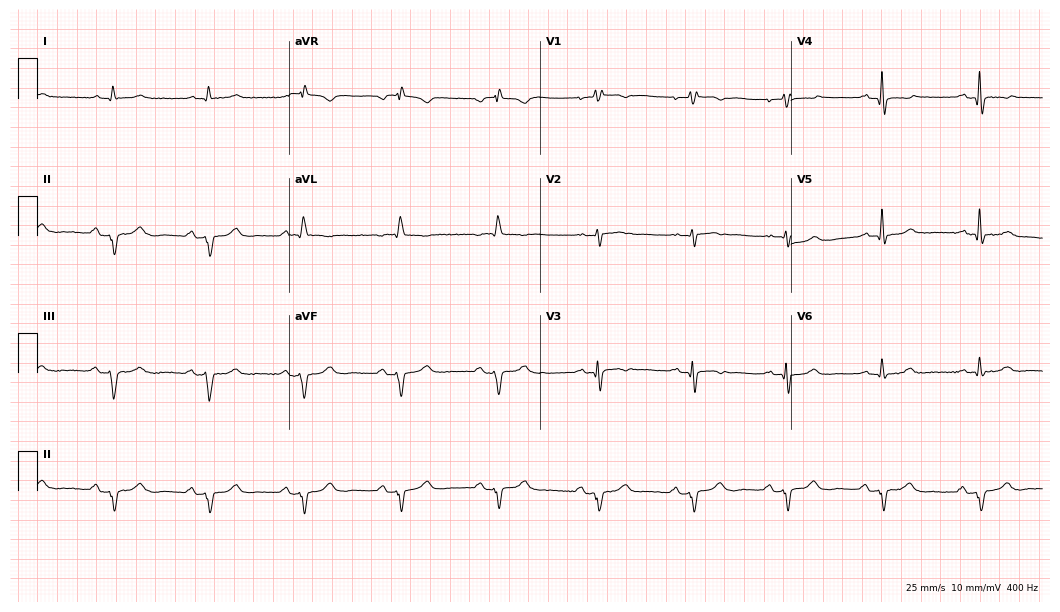
ECG — a 71-year-old male patient. Screened for six findings — first-degree AV block, right bundle branch block (RBBB), left bundle branch block (LBBB), sinus bradycardia, atrial fibrillation (AF), sinus tachycardia — none is recorded.